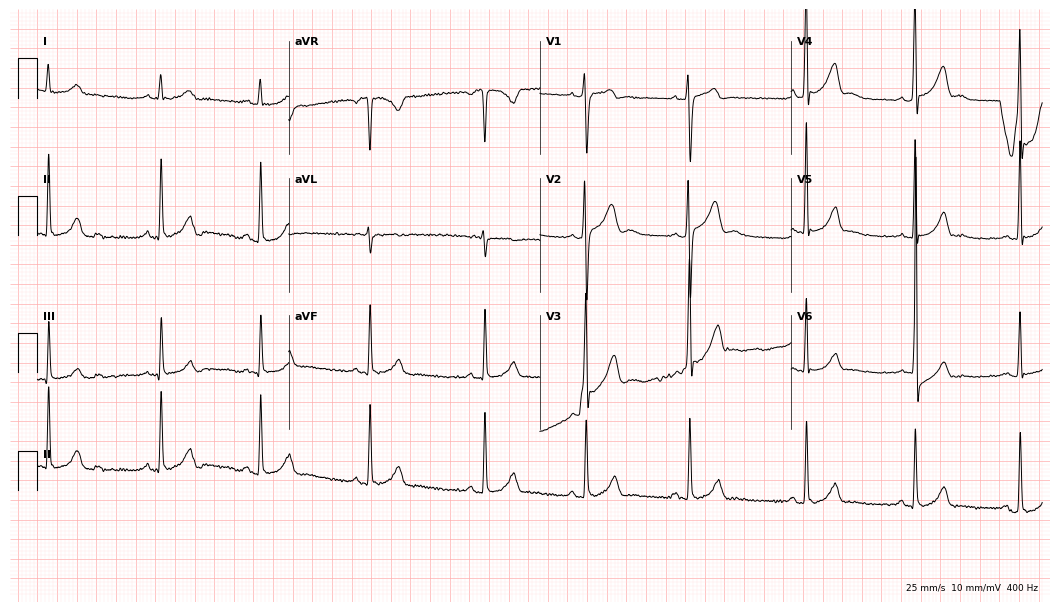
12-lead ECG (10.2-second recording at 400 Hz) from a man, 21 years old. Screened for six findings — first-degree AV block, right bundle branch block, left bundle branch block, sinus bradycardia, atrial fibrillation, sinus tachycardia — none is recorded. Other findings, if any, are not listed.